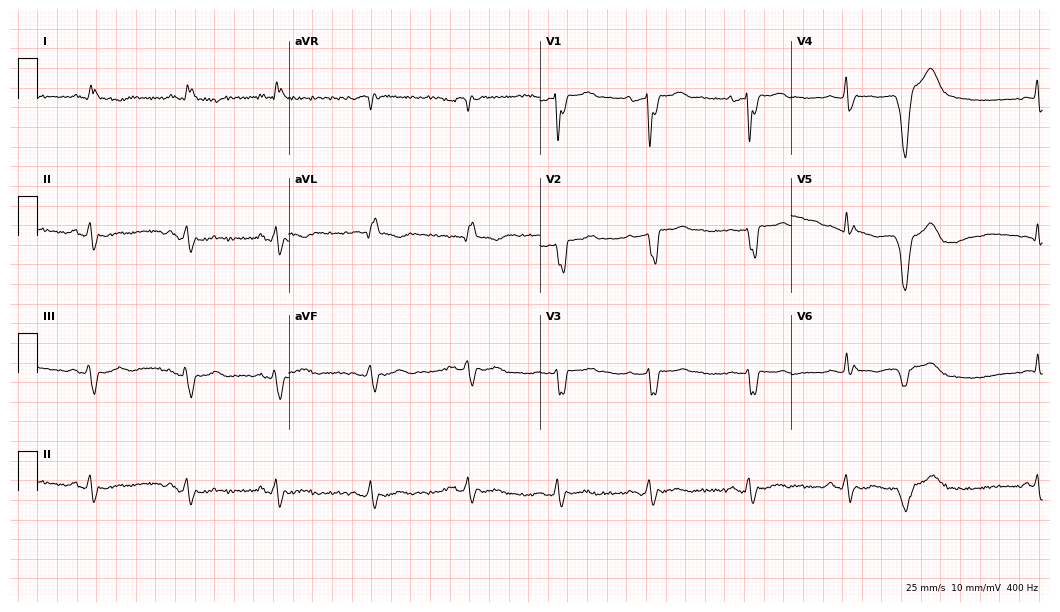
Standard 12-lead ECG recorded from an 82-year-old woman. The tracing shows left bundle branch block (LBBB).